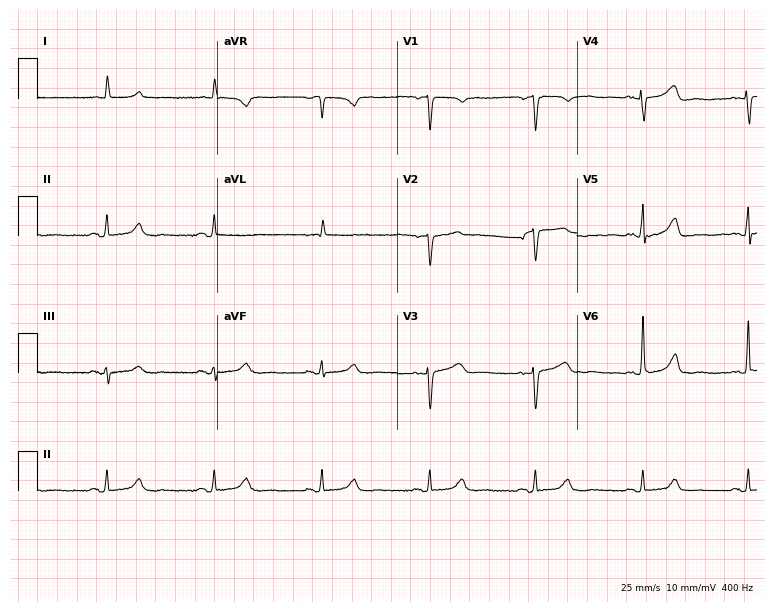
Standard 12-lead ECG recorded from a female patient, 78 years old (7.3-second recording at 400 Hz). Read as a normal ECG.